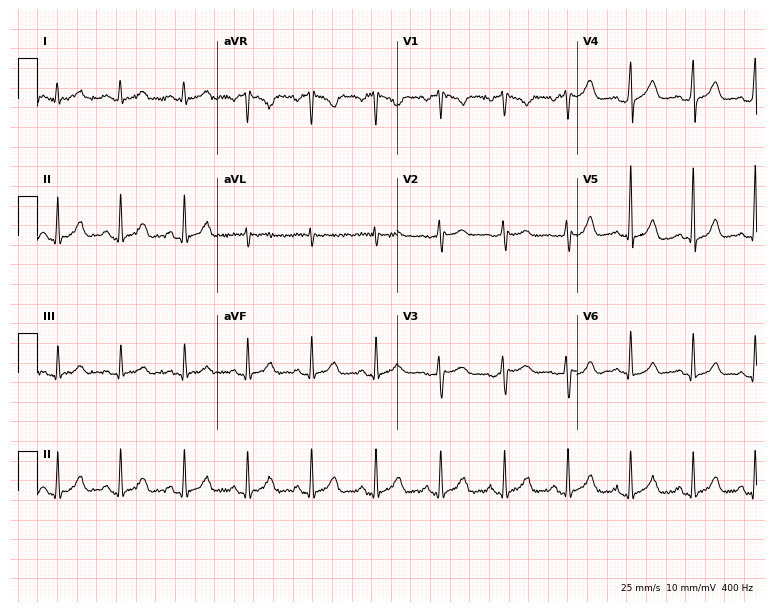
Standard 12-lead ECG recorded from a 36-year-old female. None of these six findings is recorded: first-degree AV block, right bundle branch block, left bundle branch block, sinus bradycardia, atrial fibrillation, sinus tachycardia. Findings outside these six are not listed.